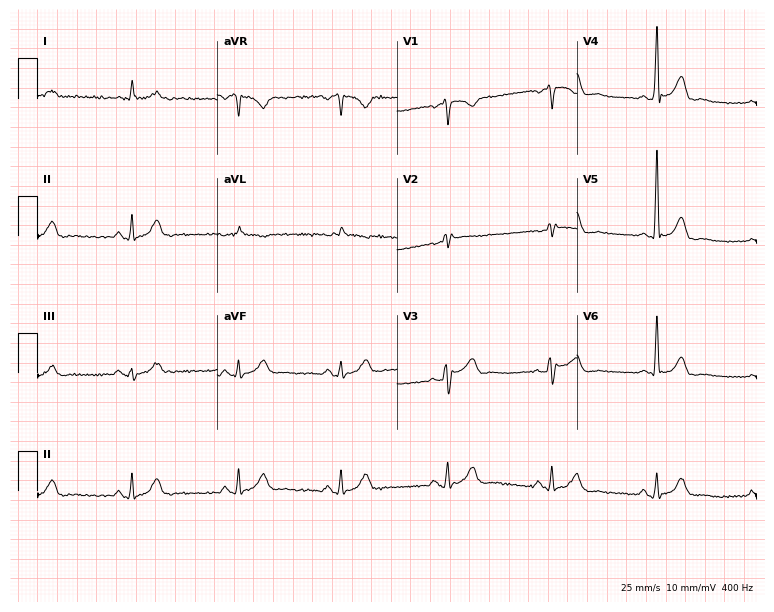
Resting 12-lead electrocardiogram (7.3-second recording at 400 Hz). Patient: a 57-year-old man. None of these six findings is recorded: first-degree AV block, right bundle branch block, left bundle branch block, sinus bradycardia, atrial fibrillation, sinus tachycardia.